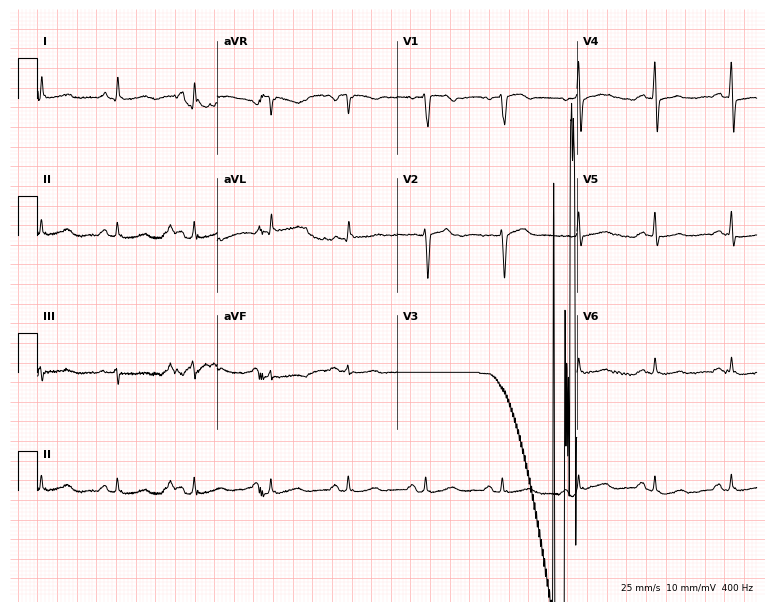
12-lead ECG from a 45-year-old female. No first-degree AV block, right bundle branch block (RBBB), left bundle branch block (LBBB), sinus bradycardia, atrial fibrillation (AF) or sinus tachycardia recorded for this tracing. Other findings, if any, are not listed.